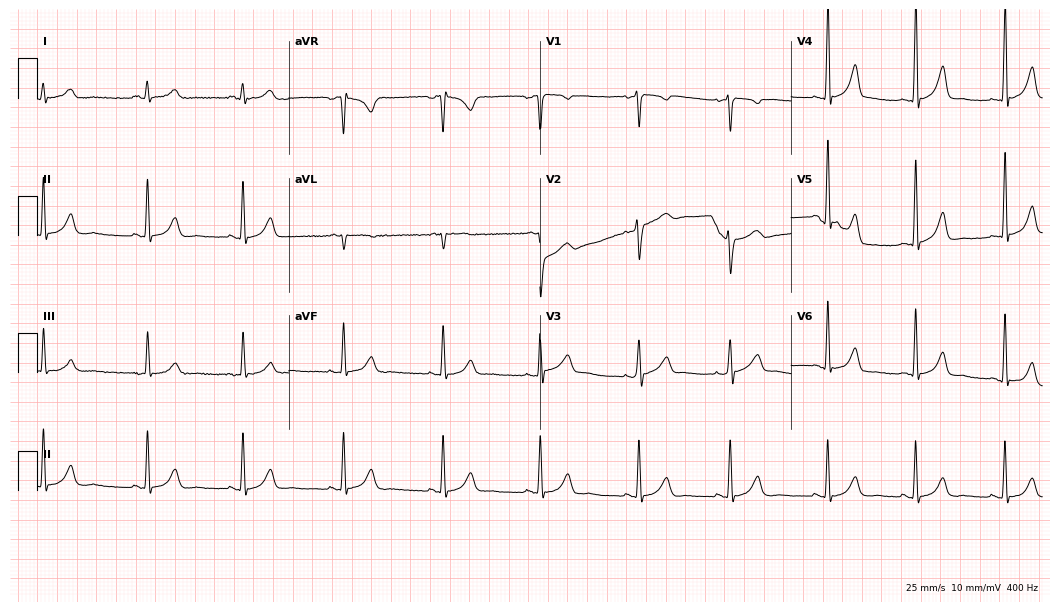
Electrocardiogram (10.2-second recording at 400 Hz), a 34-year-old woman. Overall reading on record: normal ECG.